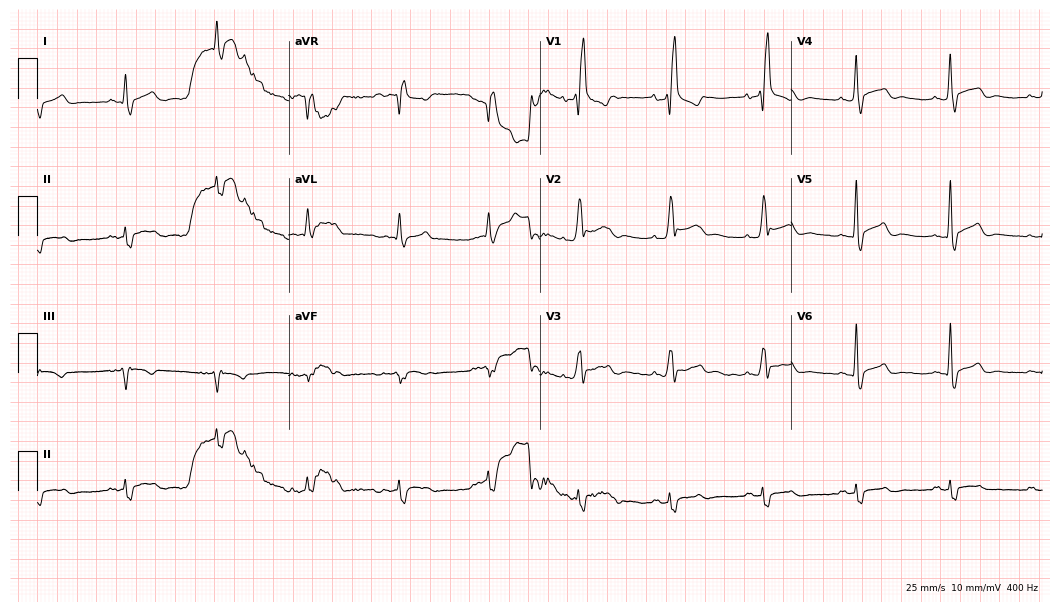
Standard 12-lead ECG recorded from a 46-year-old male (10.2-second recording at 400 Hz). None of these six findings is recorded: first-degree AV block, right bundle branch block, left bundle branch block, sinus bradycardia, atrial fibrillation, sinus tachycardia. Findings outside these six are not listed.